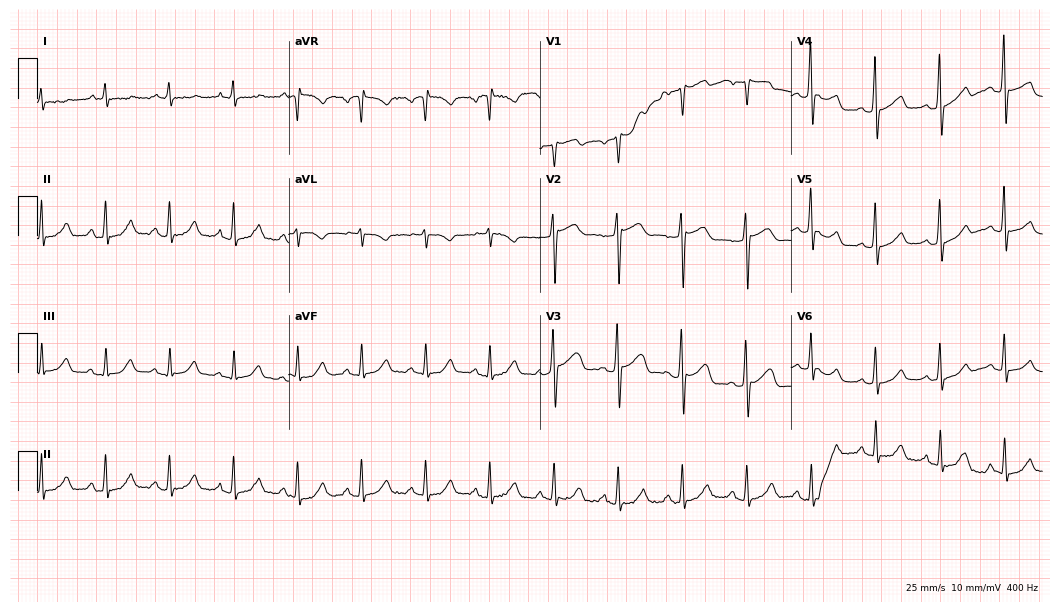
Electrocardiogram (10.2-second recording at 400 Hz), a 59-year-old male. Of the six screened findings (first-degree AV block, right bundle branch block (RBBB), left bundle branch block (LBBB), sinus bradycardia, atrial fibrillation (AF), sinus tachycardia), none is recorded.